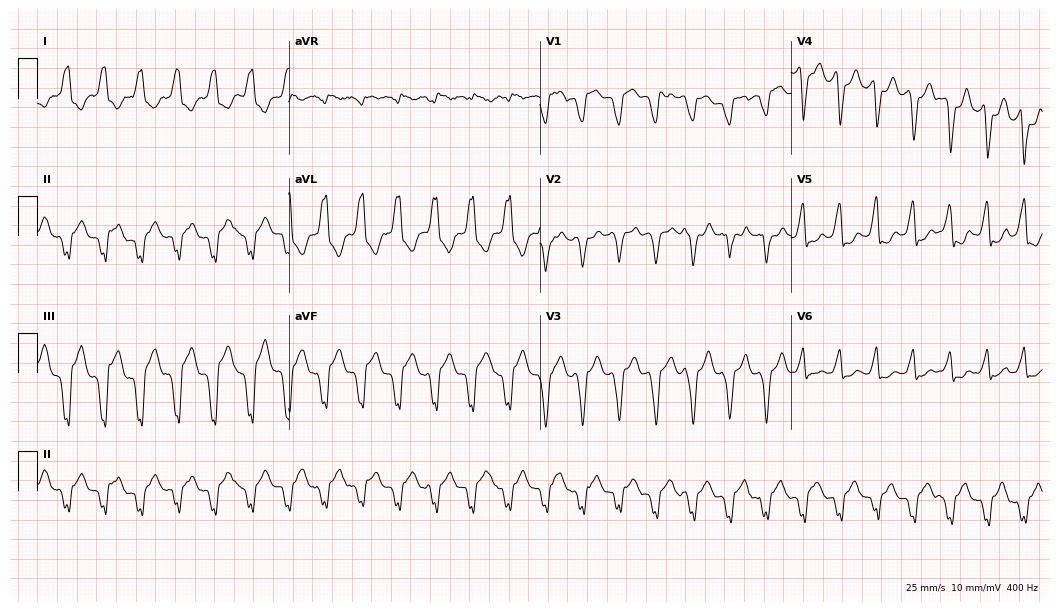
ECG (10.2-second recording at 400 Hz) — an 81-year-old male. Screened for six findings — first-degree AV block, right bundle branch block (RBBB), left bundle branch block (LBBB), sinus bradycardia, atrial fibrillation (AF), sinus tachycardia — none is recorded. Only these six findings were labelled.